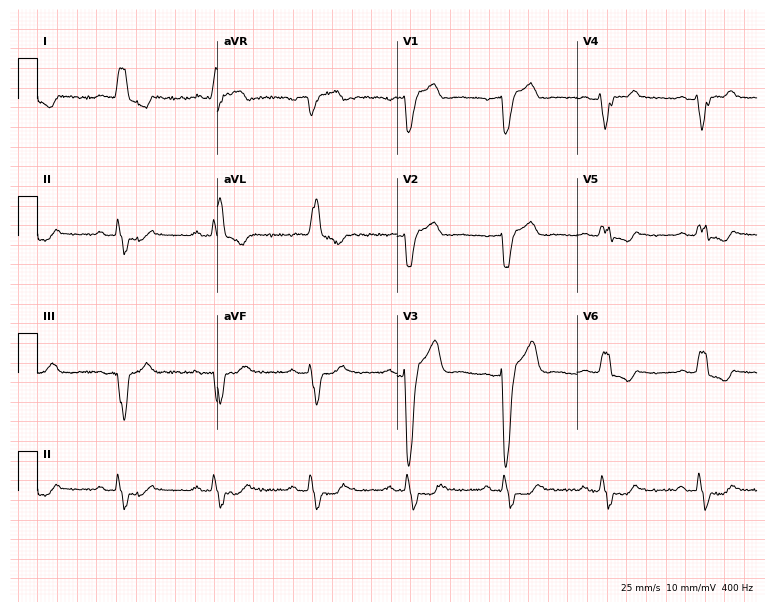
12-lead ECG from a 62-year-old male. Shows left bundle branch block (LBBB).